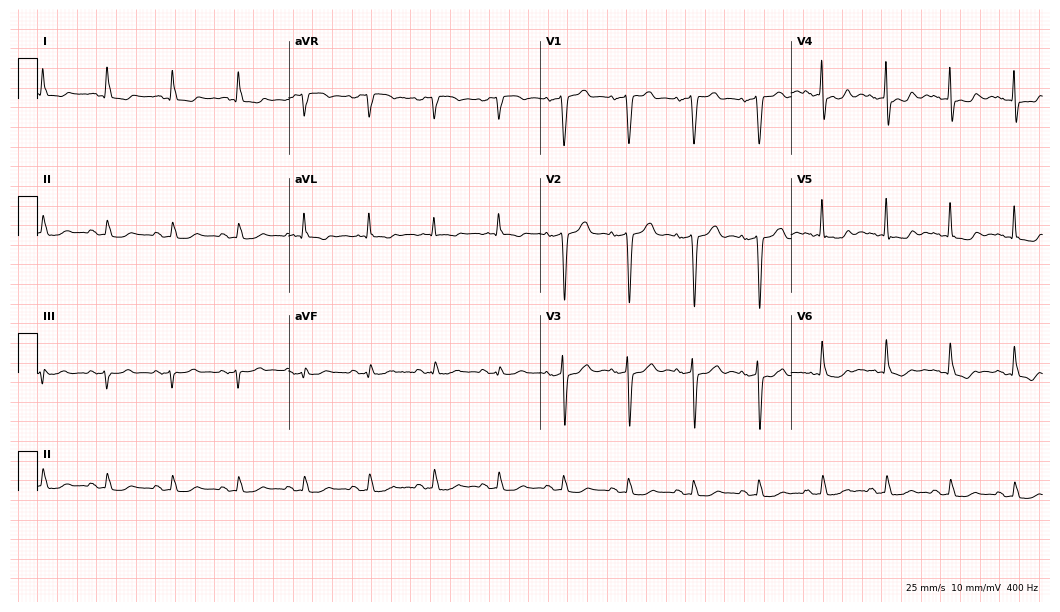
Electrocardiogram (10.2-second recording at 400 Hz), a 65-year-old male patient. Of the six screened findings (first-degree AV block, right bundle branch block (RBBB), left bundle branch block (LBBB), sinus bradycardia, atrial fibrillation (AF), sinus tachycardia), none is recorded.